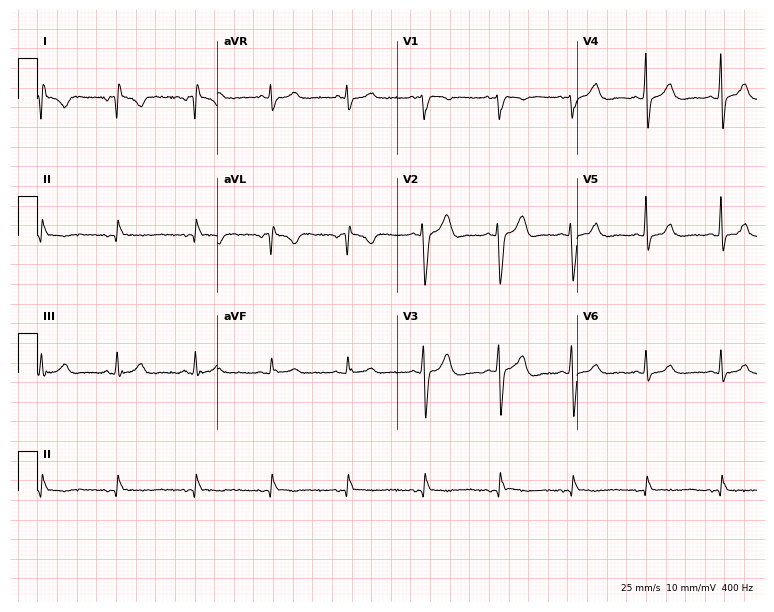
Resting 12-lead electrocardiogram (7.3-second recording at 400 Hz). Patient: a 37-year-old female. None of these six findings is recorded: first-degree AV block, right bundle branch block, left bundle branch block, sinus bradycardia, atrial fibrillation, sinus tachycardia. Other findings, if any, are not listed.